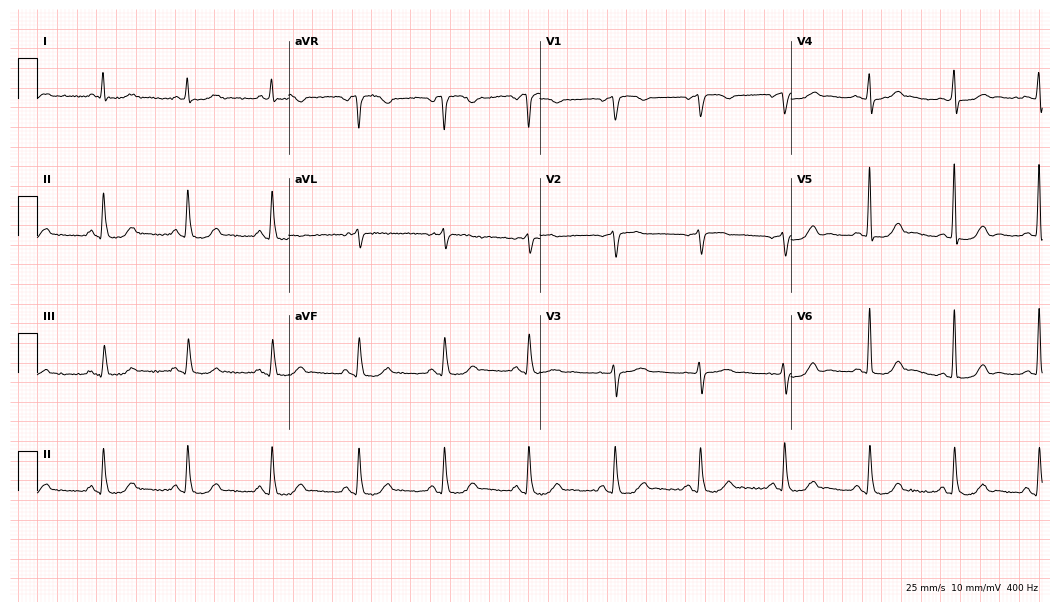
12-lead ECG (10.2-second recording at 400 Hz) from a 68-year-old female. Screened for six findings — first-degree AV block, right bundle branch block, left bundle branch block, sinus bradycardia, atrial fibrillation, sinus tachycardia — none is recorded.